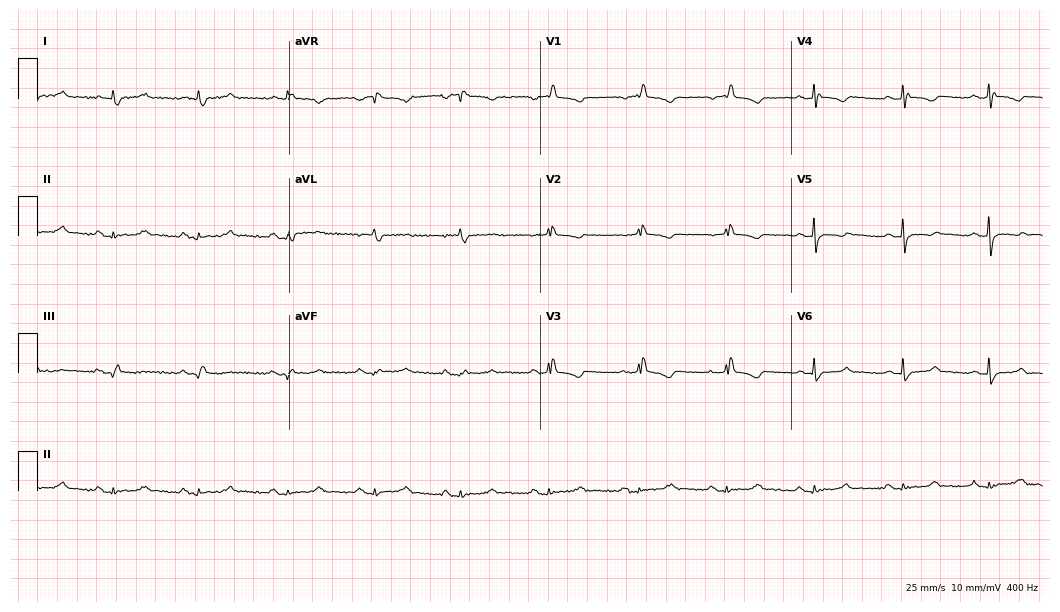
Standard 12-lead ECG recorded from a 79-year-old woman (10.2-second recording at 400 Hz). None of these six findings is recorded: first-degree AV block, right bundle branch block, left bundle branch block, sinus bradycardia, atrial fibrillation, sinus tachycardia. Findings outside these six are not listed.